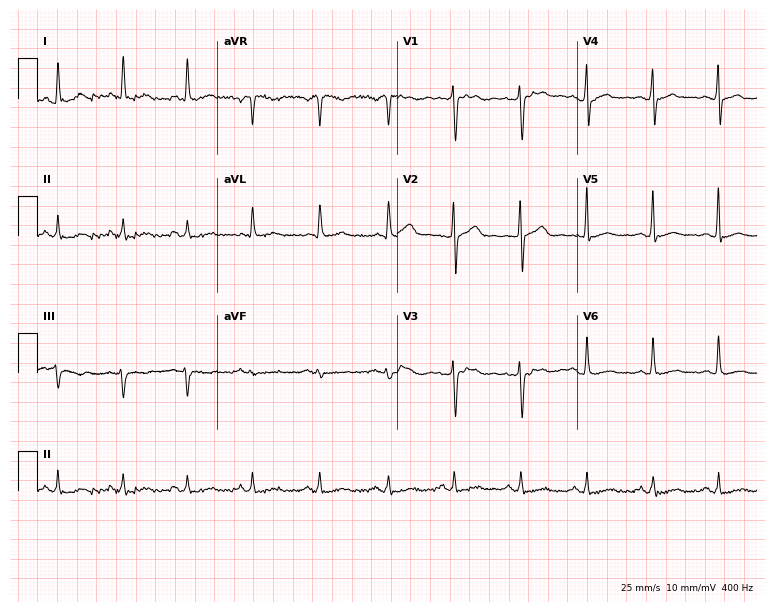
ECG (7.3-second recording at 400 Hz) — a 66-year-old male. Labelled as a normal ECG.